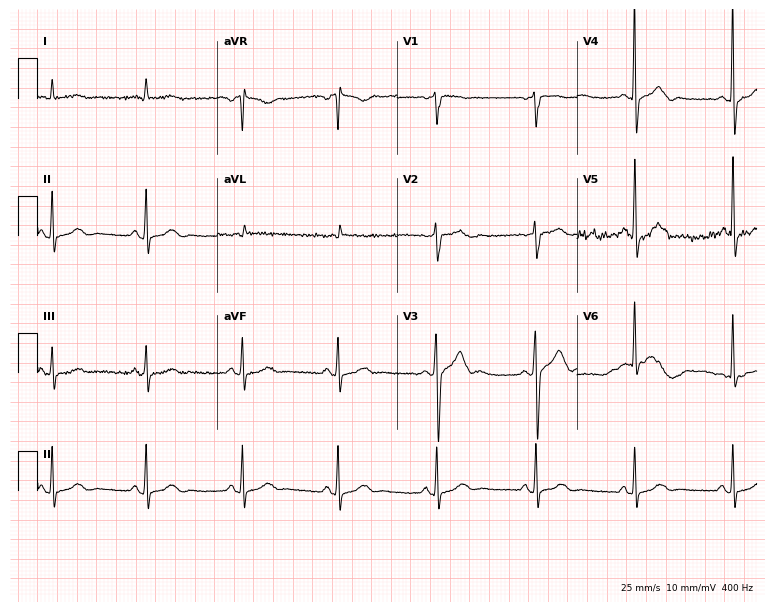
ECG — a 76-year-old male. Labelled as a normal ECG.